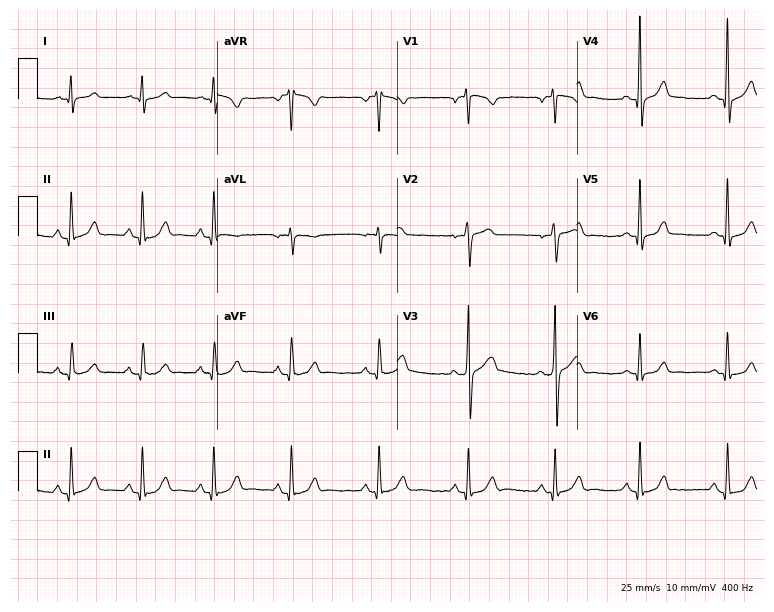
12-lead ECG (7.3-second recording at 400 Hz) from a man, 42 years old. Screened for six findings — first-degree AV block, right bundle branch block, left bundle branch block, sinus bradycardia, atrial fibrillation, sinus tachycardia — none is recorded.